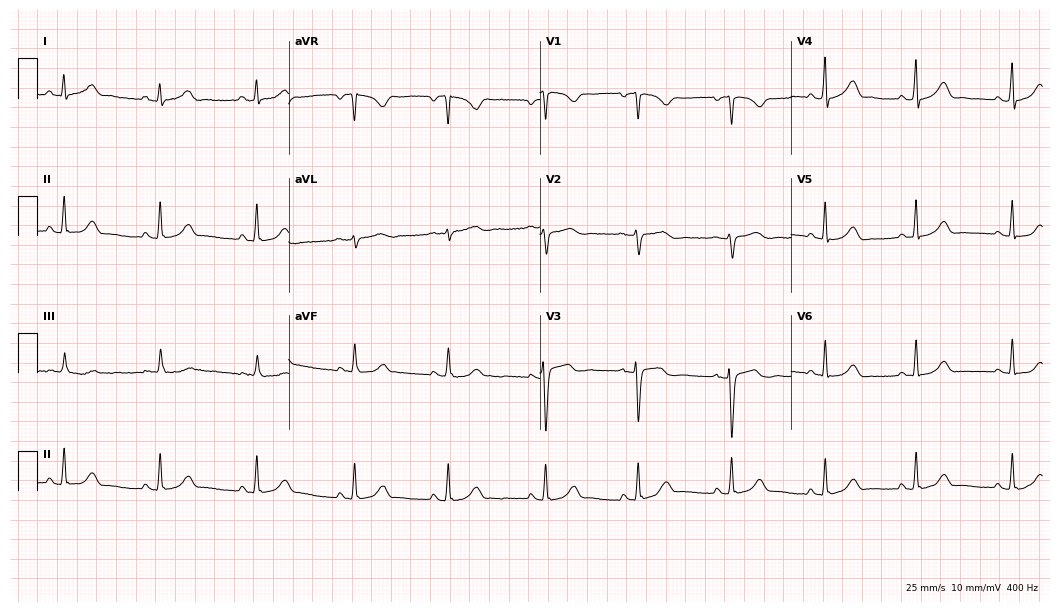
ECG — a 31-year-old female patient. Labelled as a normal ECG.